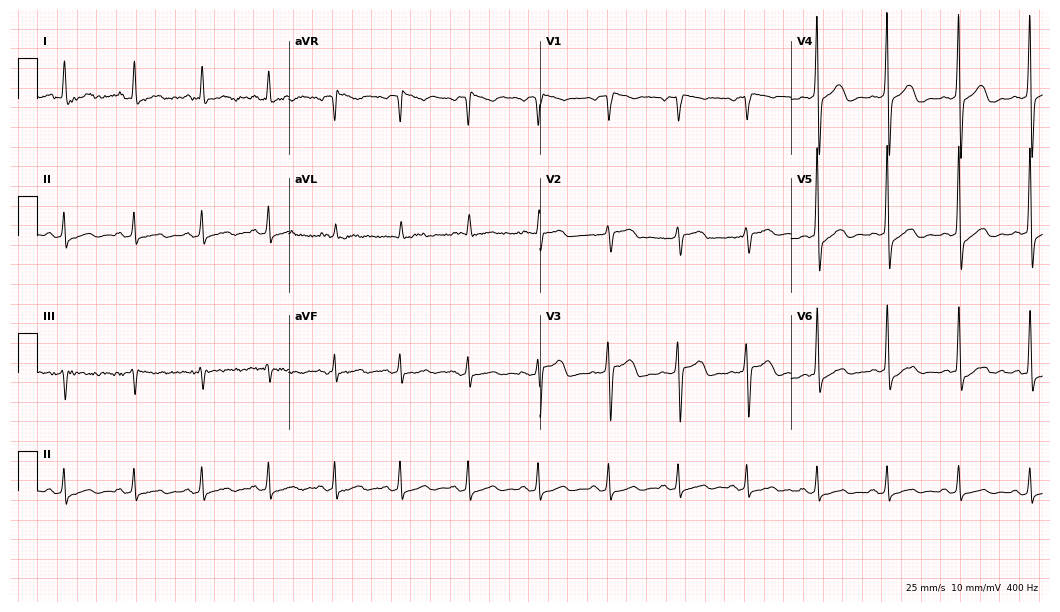
Electrocardiogram, a 65-year-old female patient. Overall reading on record: normal ECG.